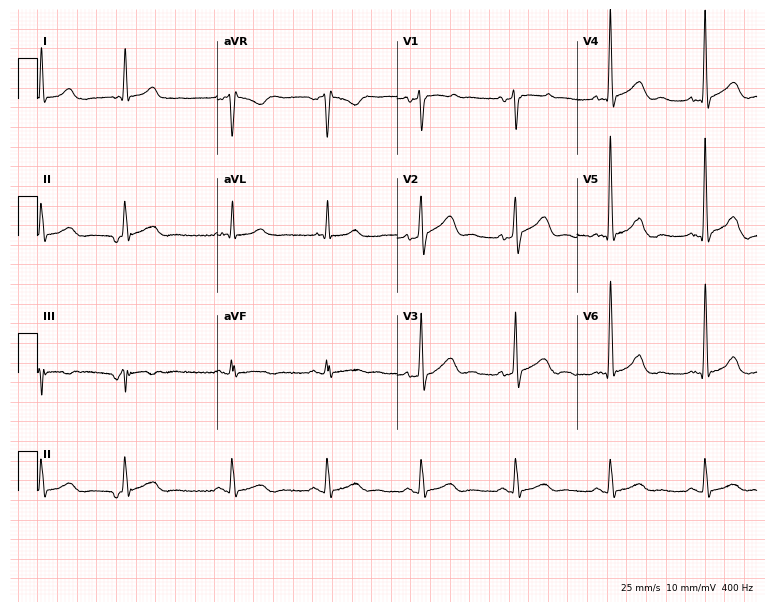
Standard 12-lead ECG recorded from a male, 68 years old (7.3-second recording at 400 Hz). Read as a normal ECG.